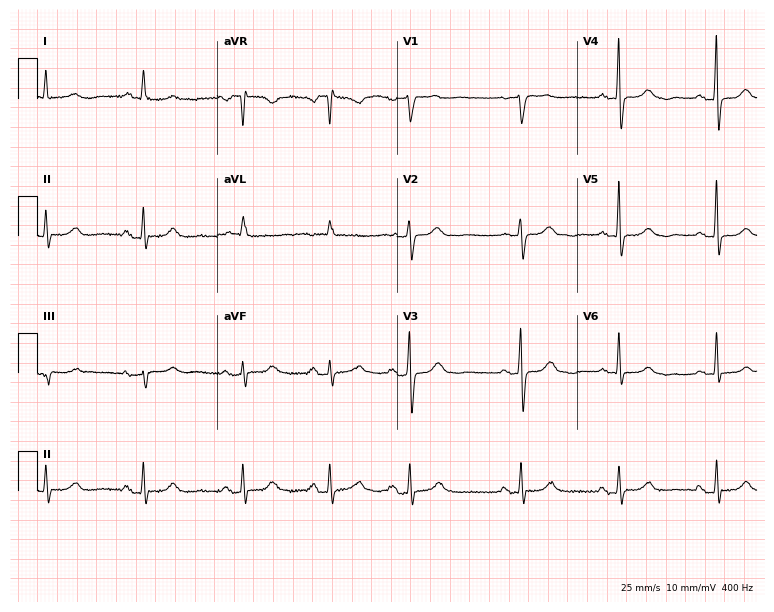
12-lead ECG from a 79-year-old female (7.3-second recording at 400 Hz). No first-degree AV block, right bundle branch block, left bundle branch block, sinus bradycardia, atrial fibrillation or sinus tachycardia recorded for this tracing. Only these six findings were labelled.